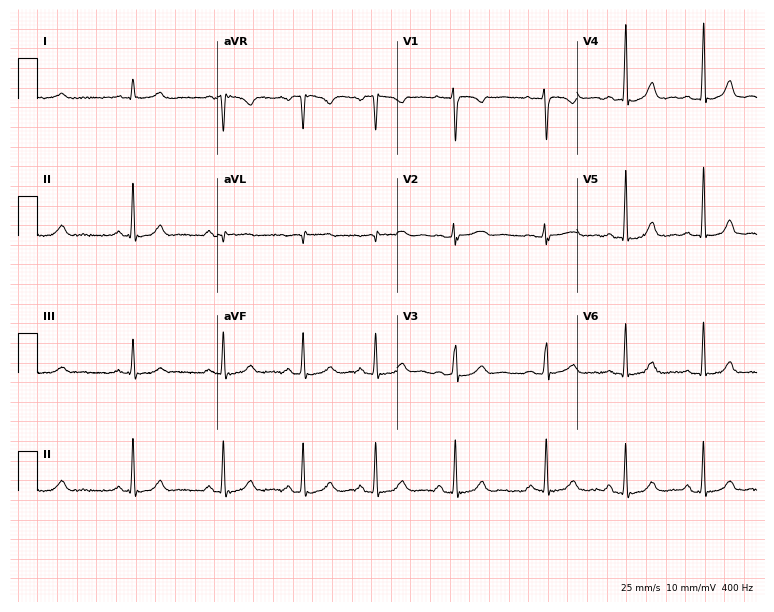
Electrocardiogram, a 27-year-old woman. Of the six screened findings (first-degree AV block, right bundle branch block (RBBB), left bundle branch block (LBBB), sinus bradycardia, atrial fibrillation (AF), sinus tachycardia), none is recorded. Only these six findings were labelled.